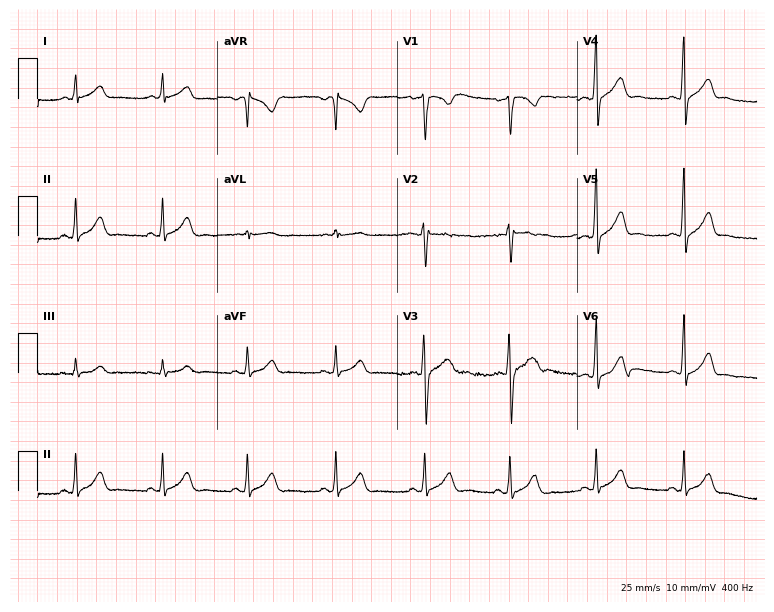
12-lead ECG (7.3-second recording at 400 Hz) from a man, 21 years old. Labelled as a normal ECG.